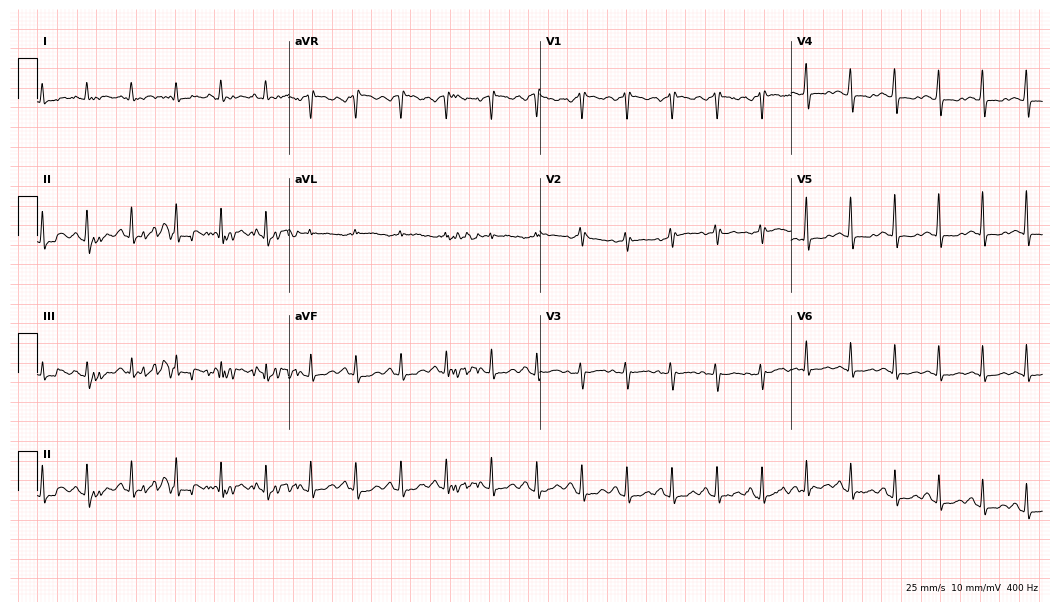
12-lead ECG from a woman, 40 years old. Screened for six findings — first-degree AV block, right bundle branch block, left bundle branch block, sinus bradycardia, atrial fibrillation, sinus tachycardia — none is recorded. Other findings, if any, are not listed.